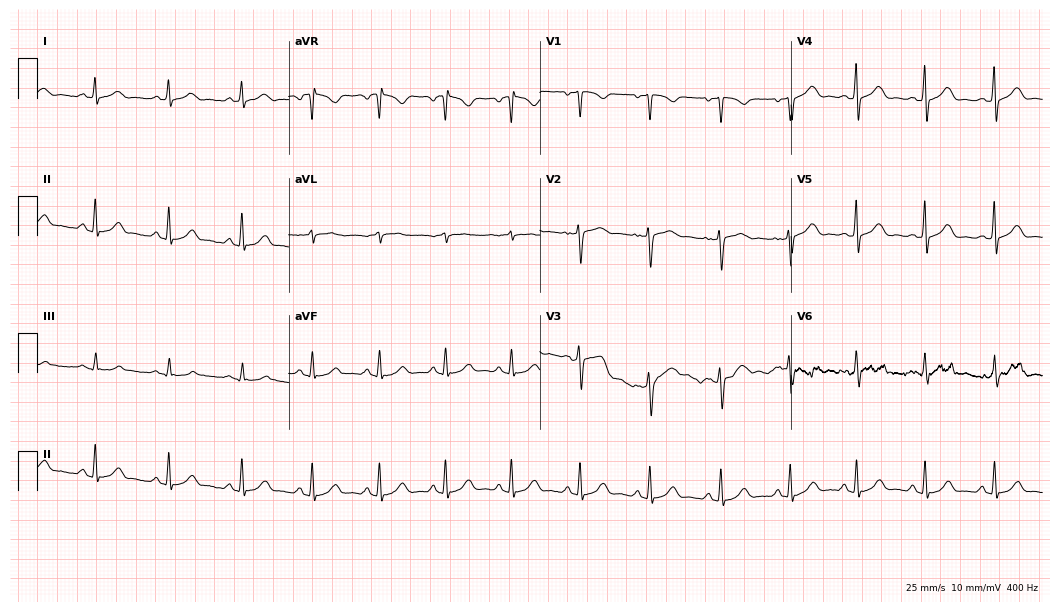
12-lead ECG from a female patient, 45 years old (10.2-second recording at 400 Hz). Recorded interpretation: within normal limits.